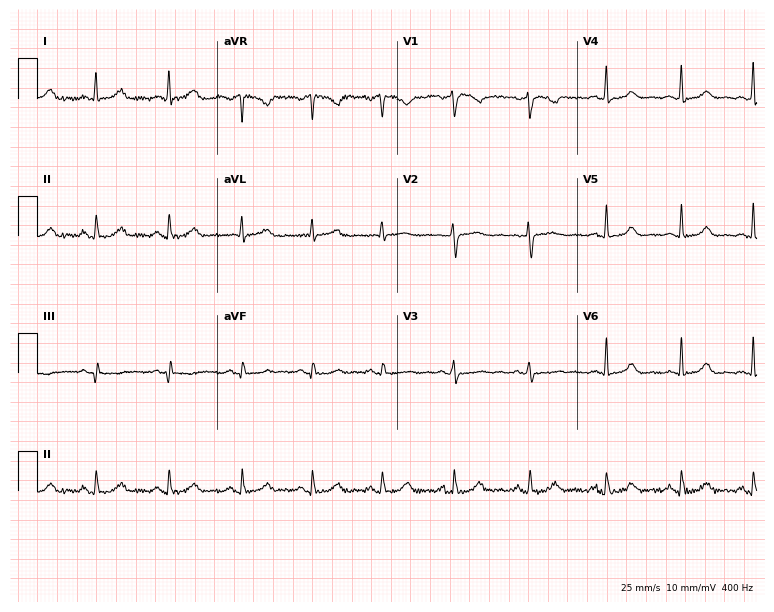
Resting 12-lead electrocardiogram (7.3-second recording at 400 Hz). Patient: a 40-year-old female. Read as a normal ECG.